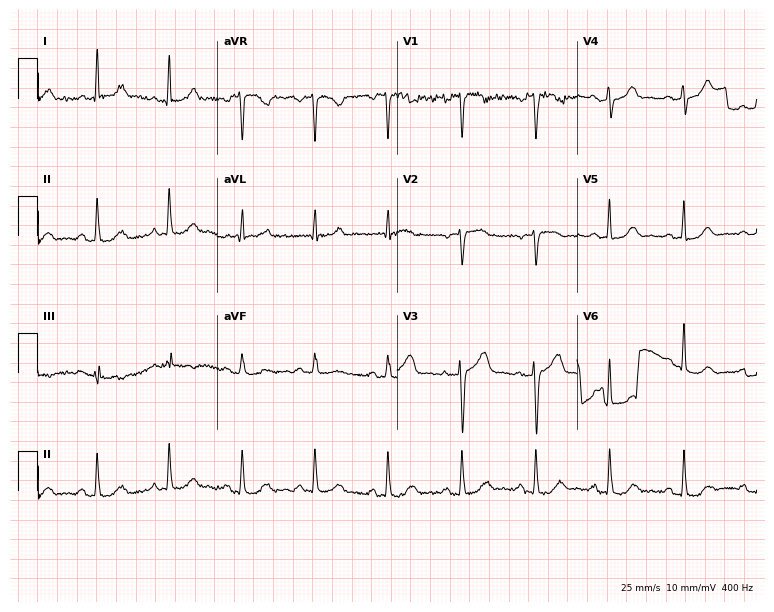
Resting 12-lead electrocardiogram (7.3-second recording at 400 Hz). Patient: a female, 55 years old. None of these six findings is recorded: first-degree AV block, right bundle branch block, left bundle branch block, sinus bradycardia, atrial fibrillation, sinus tachycardia.